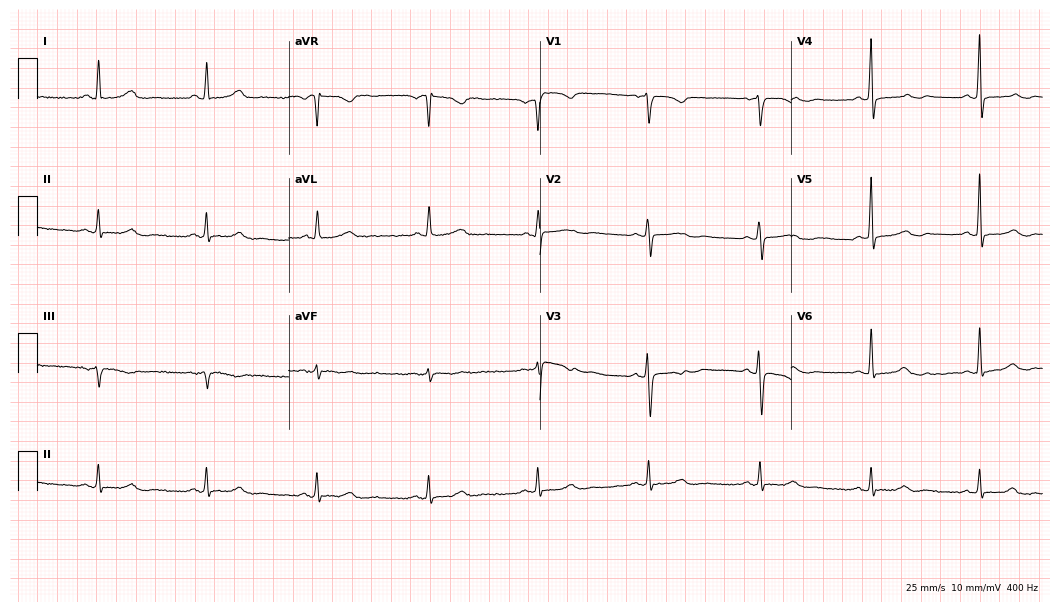
Electrocardiogram (10.2-second recording at 400 Hz), a 61-year-old woman. Overall reading on record: normal ECG.